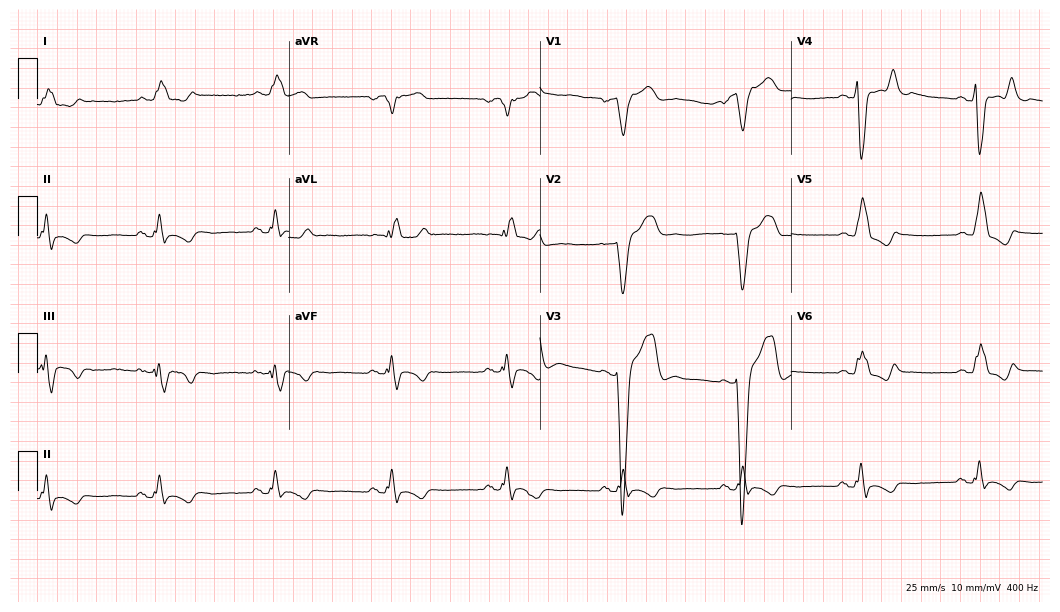
12-lead ECG from a male, 48 years old. Findings include left bundle branch block (LBBB).